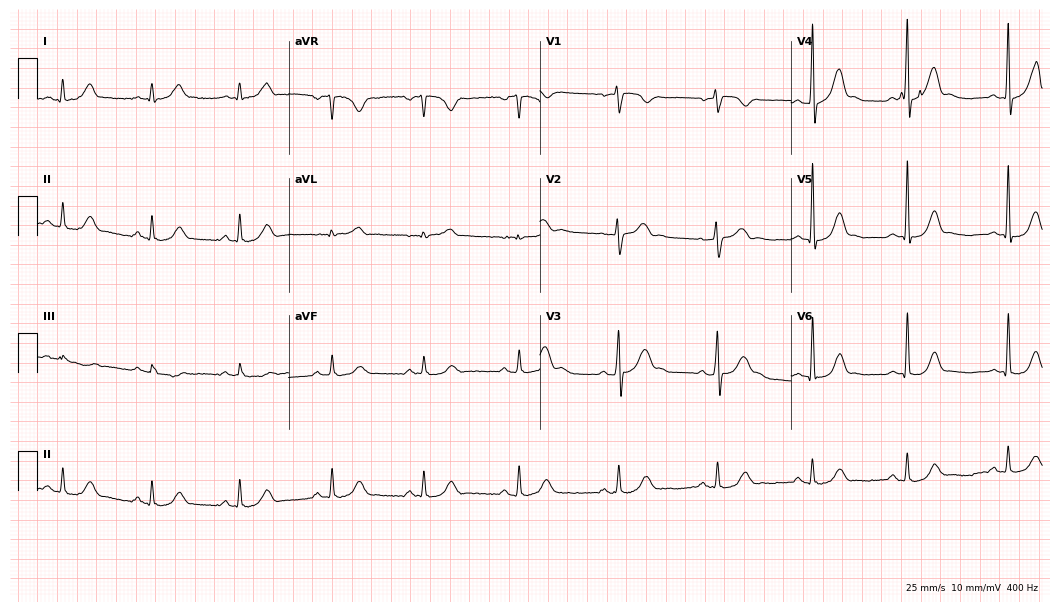
Resting 12-lead electrocardiogram. Patient: a 45-year-old man. Read as a normal ECG.